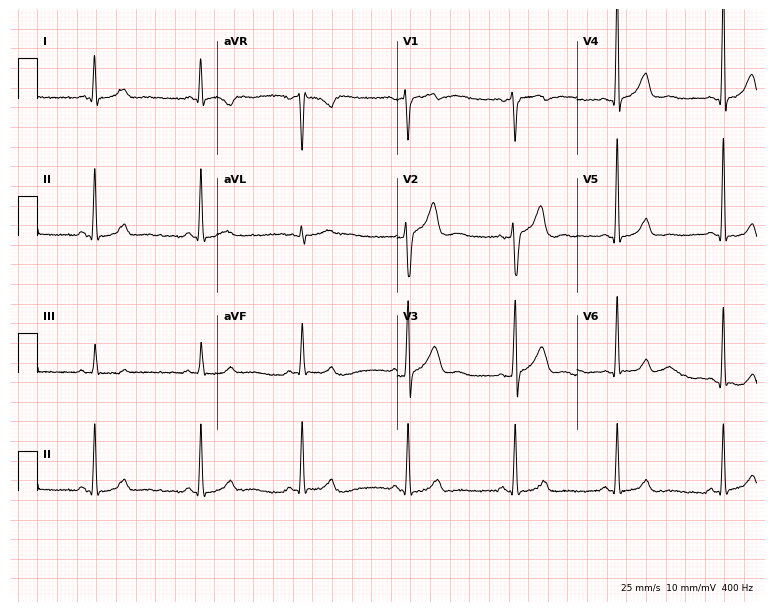
12-lead ECG (7.3-second recording at 400 Hz) from a 43-year-old male. Labelled as a normal ECG.